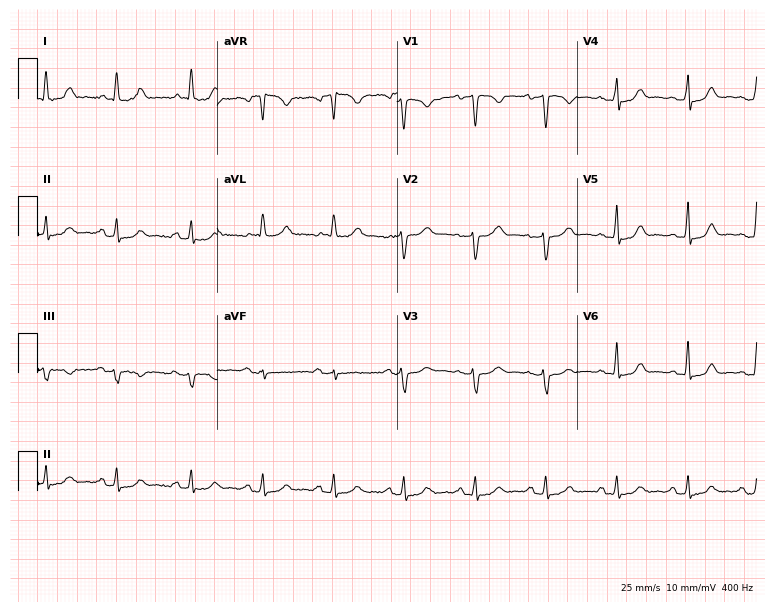
12-lead ECG from a 44-year-old woman. No first-degree AV block, right bundle branch block (RBBB), left bundle branch block (LBBB), sinus bradycardia, atrial fibrillation (AF) or sinus tachycardia recorded for this tracing.